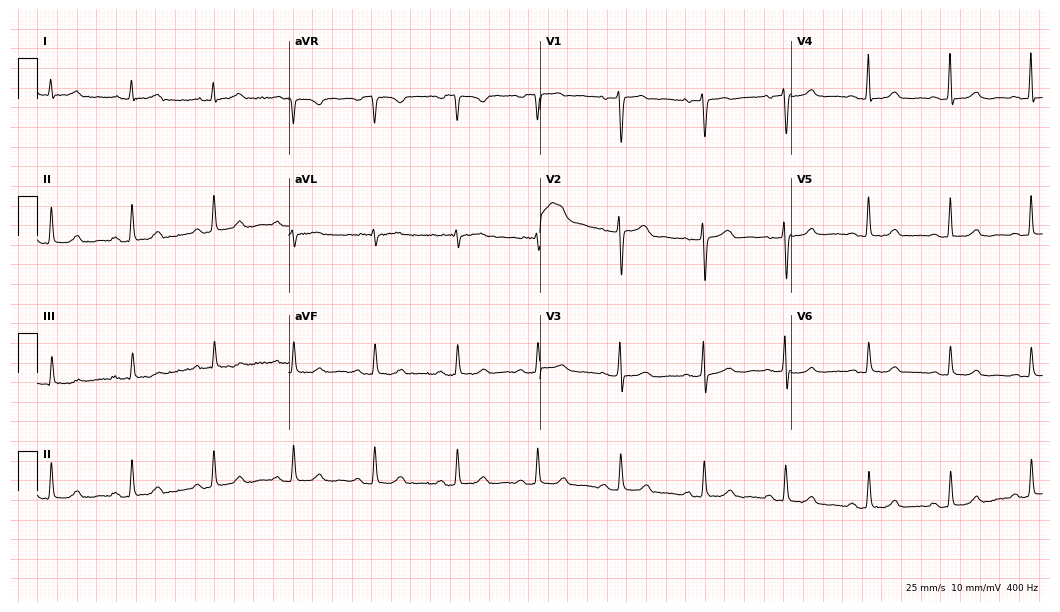
12-lead ECG (10.2-second recording at 400 Hz) from a female, 58 years old. Labelled as a normal ECG.